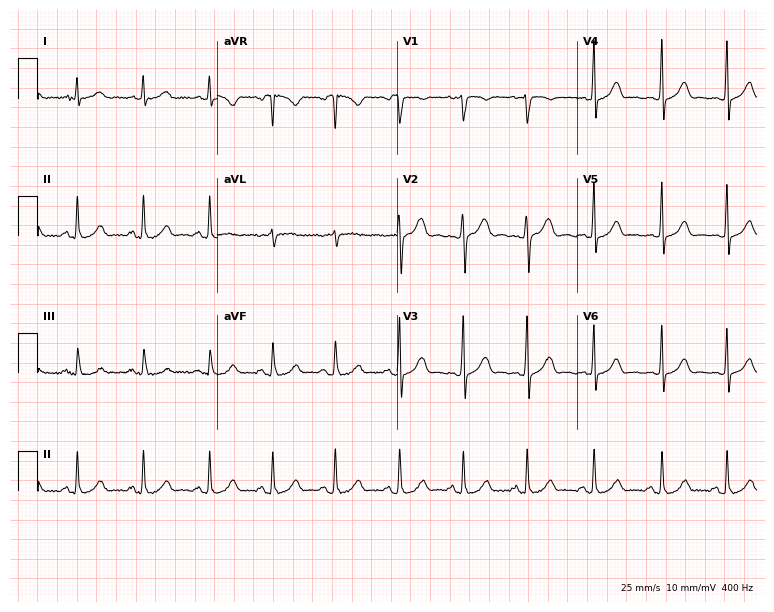
Standard 12-lead ECG recorded from a female, 25 years old (7.3-second recording at 400 Hz). Read as a normal ECG.